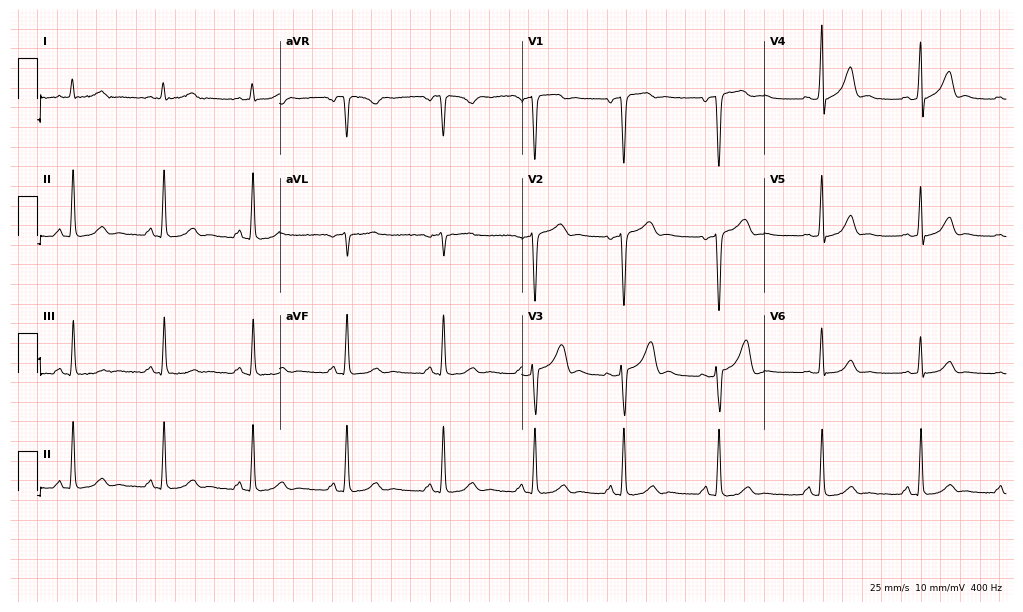
12-lead ECG from a 37-year-old male. Screened for six findings — first-degree AV block, right bundle branch block (RBBB), left bundle branch block (LBBB), sinus bradycardia, atrial fibrillation (AF), sinus tachycardia — none is recorded.